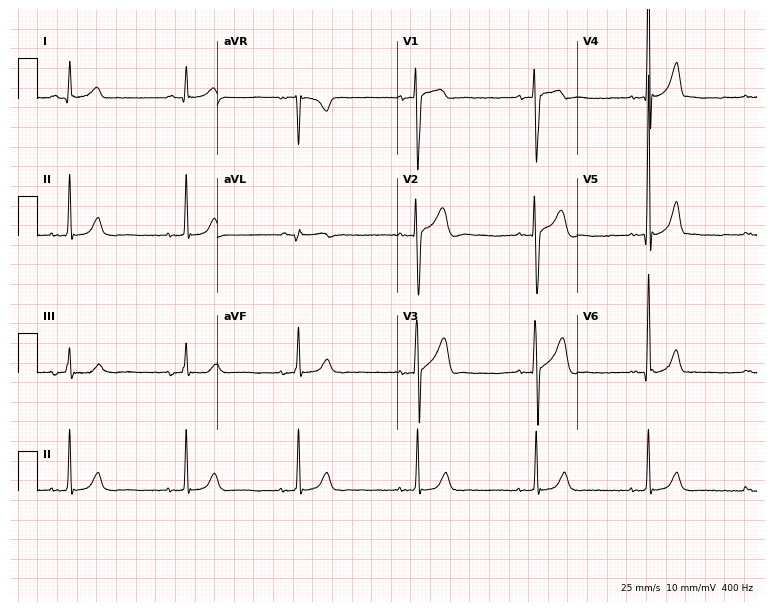
Standard 12-lead ECG recorded from a male patient, 19 years old (7.3-second recording at 400 Hz). None of these six findings is recorded: first-degree AV block, right bundle branch block, left bundle branch block, sinus bradycardia, atrial fibrillation, sinus tachycardia.